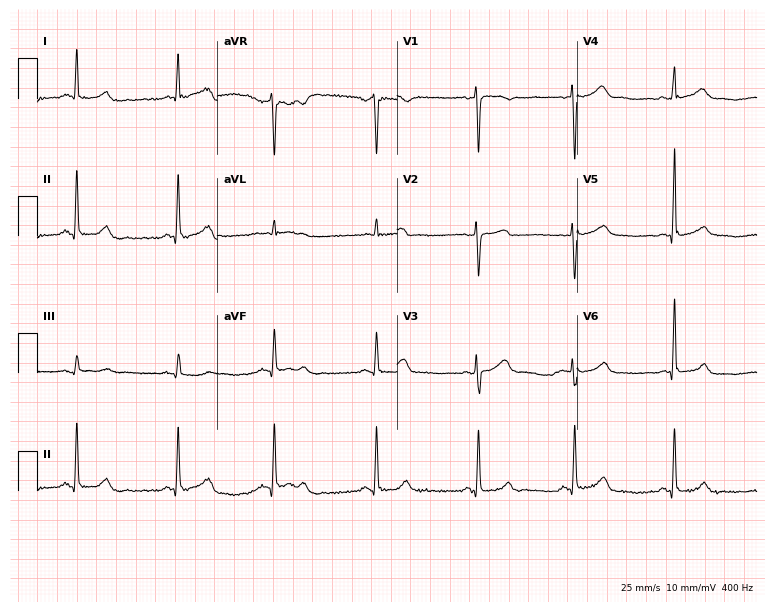
12-lead ECG (7.3-second recording at 400 Hz) from a woman, 52 years old. Screened for six findings — first-degree AV block, right bundle branch block, left bundle branch block, sinus bradycardia, atrial fibrillation, sinus tachycardia — none is recorded. Findings outside these six are not listed.